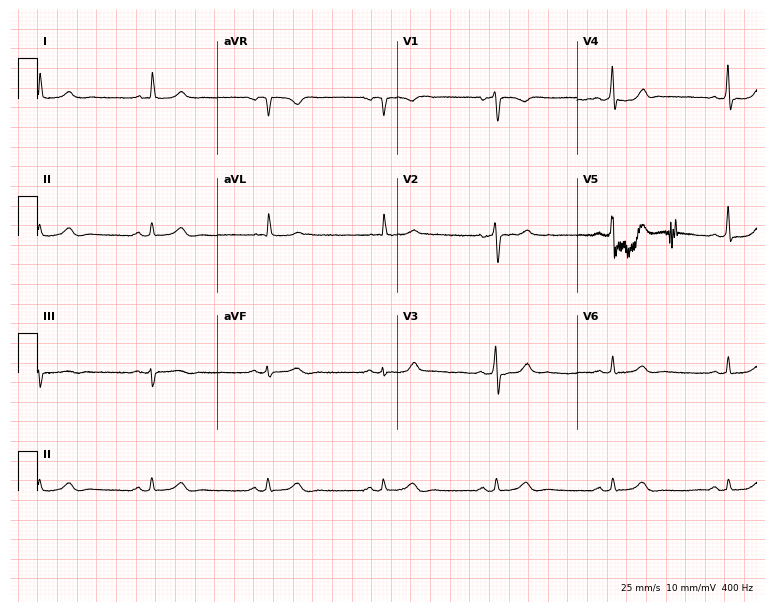
Standard 12-lead ECG recorded from a woman, 70 years old (7.3-second recording at 400 Hz). None of these six findings is recorded: first-degree AV block, right bundle branch block (RBBB), left bundle branch block (LBBB), sinus bradycardia, atrial fibrillation (AF), sinus tachycardia. Findings outside these six are not listed.